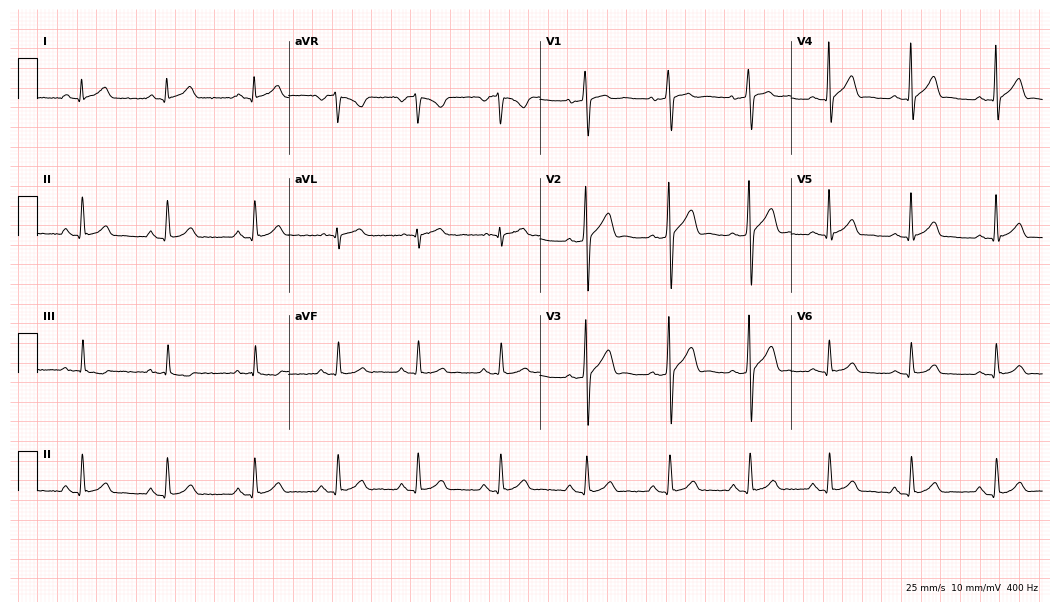
ECG (10.2-second recording at 400 Hz) — a 32-year-old male. Labelled as a normal ECG.